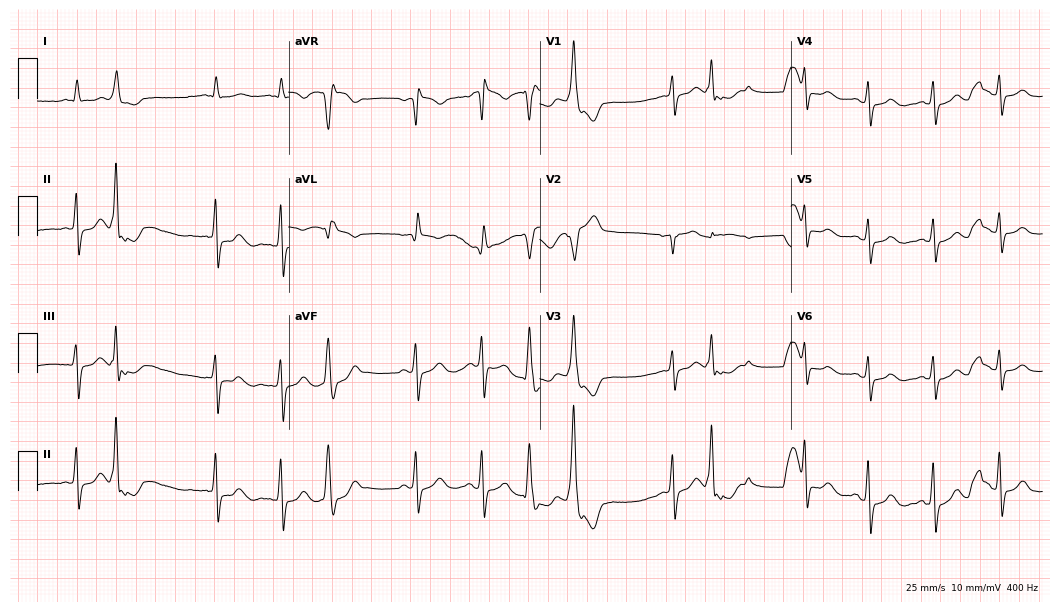
12-lead ECG from a male patient, 72 years old (10.2-second recording at 400 Hz). No first-degree AV block, right bundle branch block (RBBB), left bundle branch block (LBBB), sinus bradycardia, atrial fibrillation (AF) or sinus tachycardia recorded for this tracing.